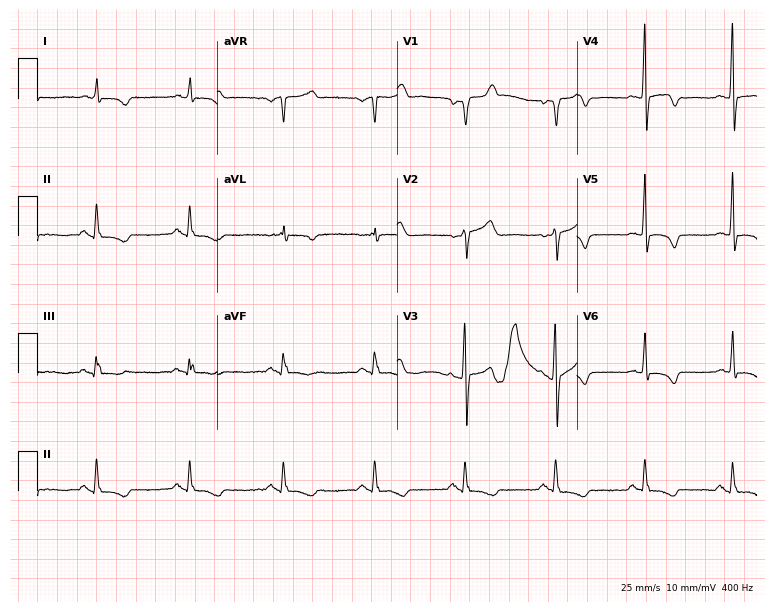
12-lead ECG (7.3-second recording at 400 Hz) from a 63-year-old male patient. Screened for six findings — first-degree AV block, right bundle branch block, left bundle branch block, sinus bradycardia, atrial fibrillation, sinus tachycardia — none is recorded. Findings outside these six are not listed.